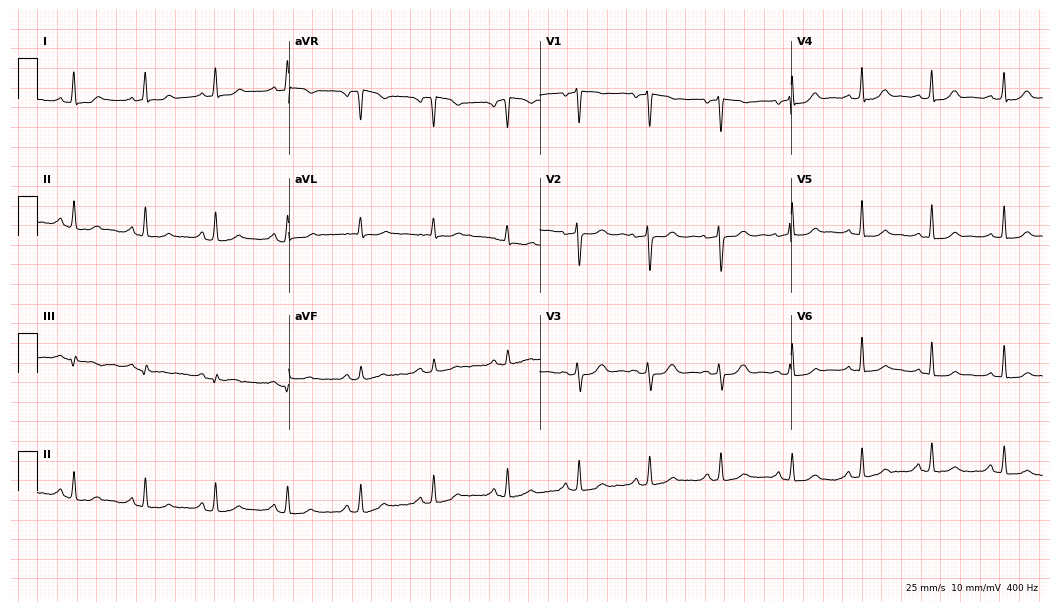
Electrocardiogram (10.2-second recording at 400 Hz), a 40-year-old woman. Overall reading on record: normal ECG.